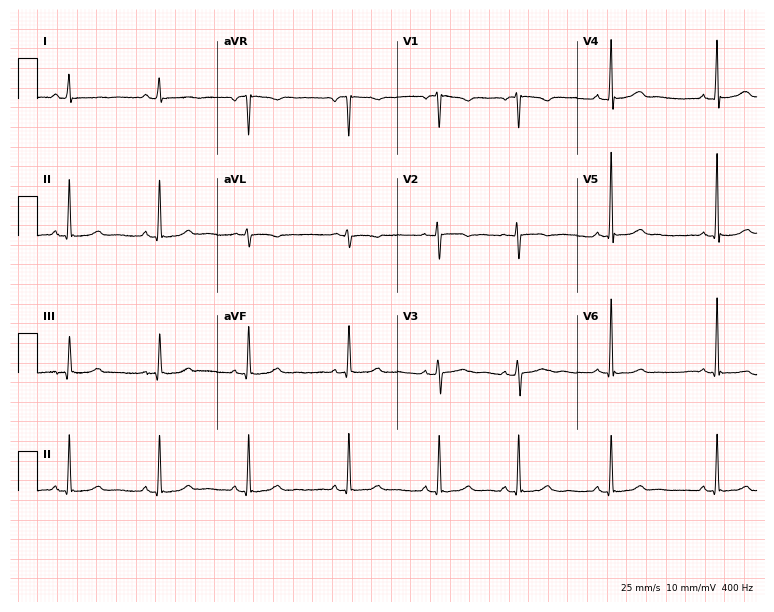
ECG (7.3-second recording at 400 Hz) — a woman, 22 years old. Labelled as a normal ECG.